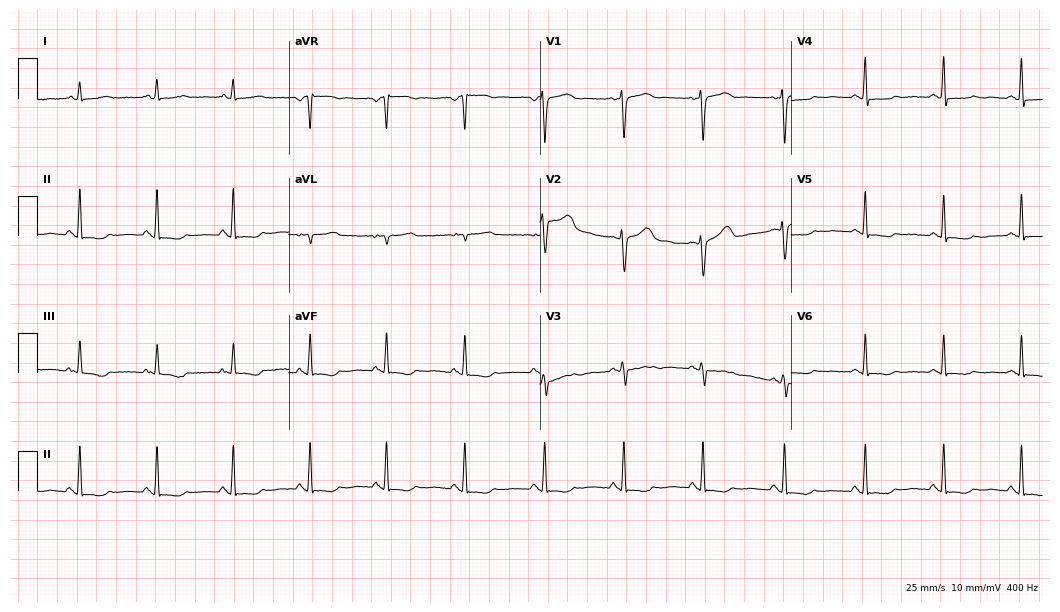
Electrocardiogram, a 47-year-old female patient. Overall reading on record: normal ECG.